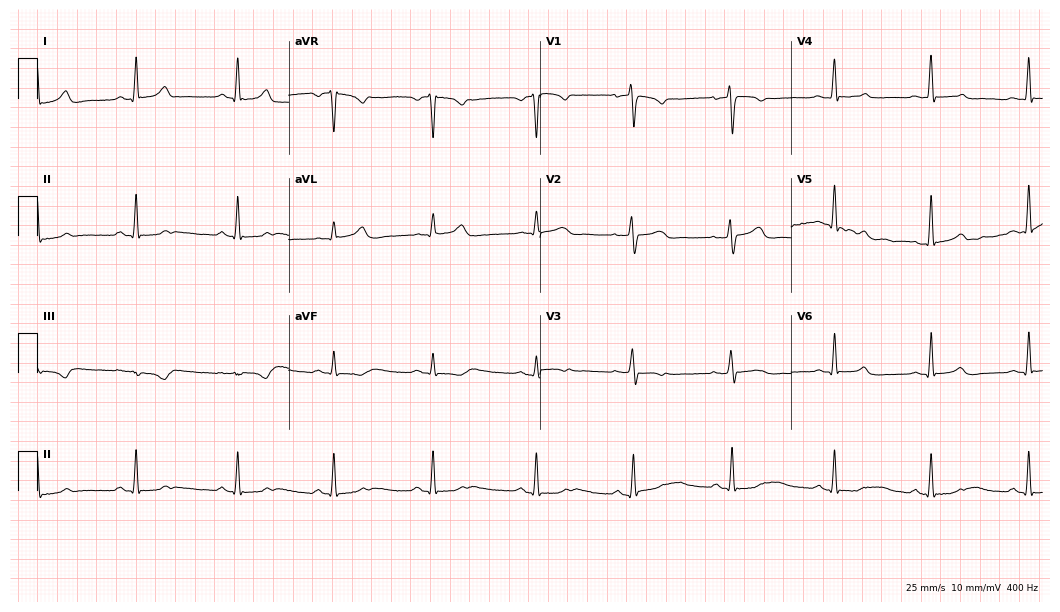
ECG (10.2-second recording at 400 Hz) — a 35-year-old woman. Labelled as a normal ECG.